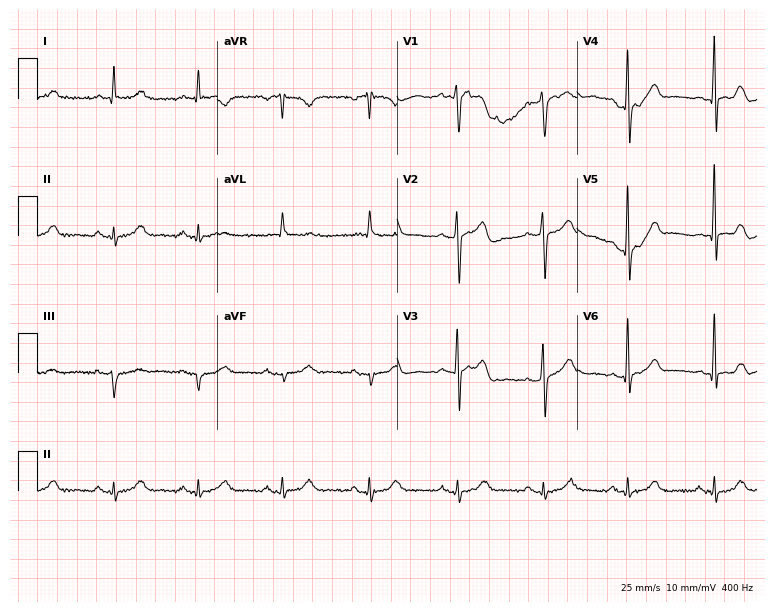
12-lead ECG from a man, 83 years old. Labelled as a normal ECG.